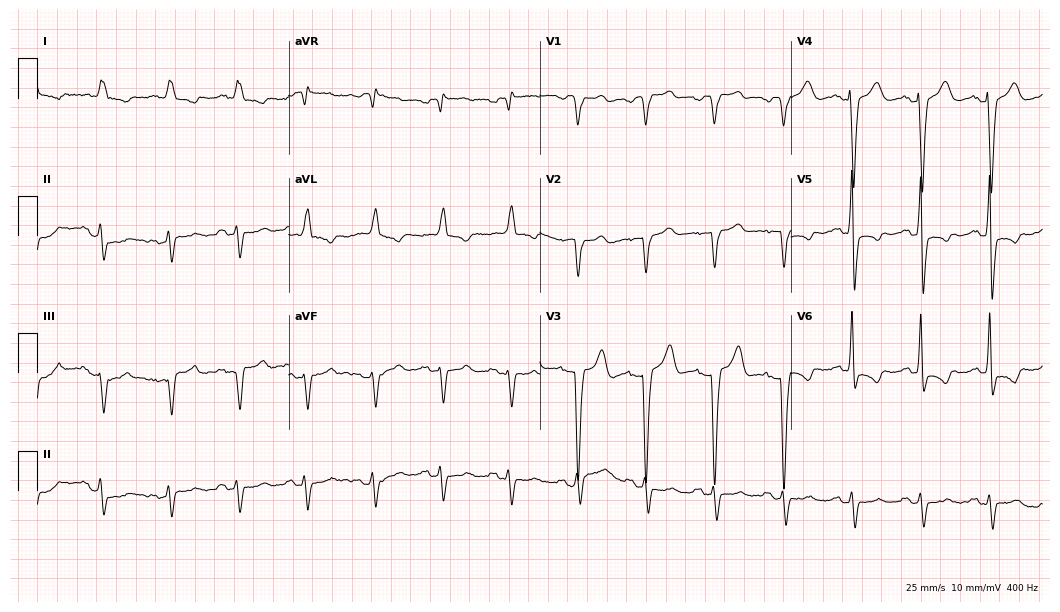
Standard 12-lead ECG recorded from an 80-year-old male (10.2-second recording at 400 Hz). None of these six findings is recorded: first-degree AV block, right bundle branch block, left bundle branch block, sinus bradycardia, atrial fibrillation, sinus tachycardia. Findings outside these six are not listed.